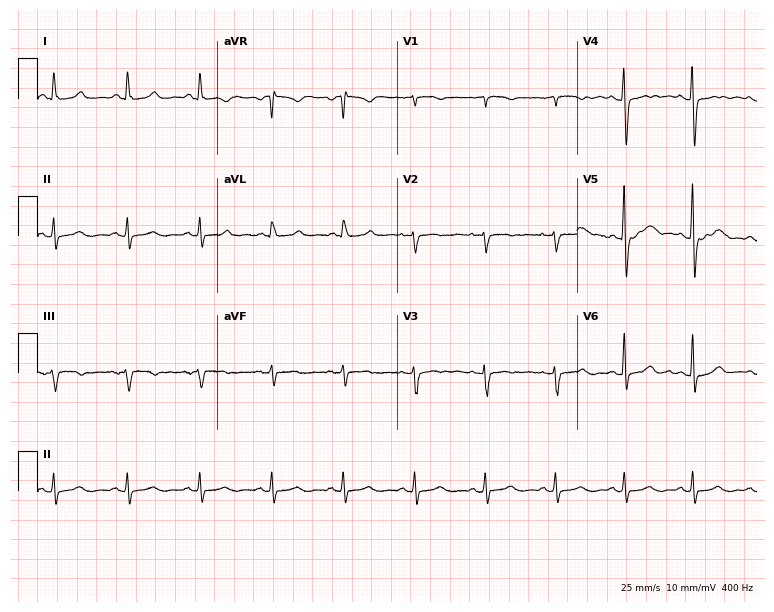
12-lead ECG from a 47-year-old woman. No first-degree AV block, right bundle branch block, left bundle branch block, sinus bradycardia, atrial fibrillation or sinus tachycardia recorded for this tracing. Other findings, if any, are not listed.